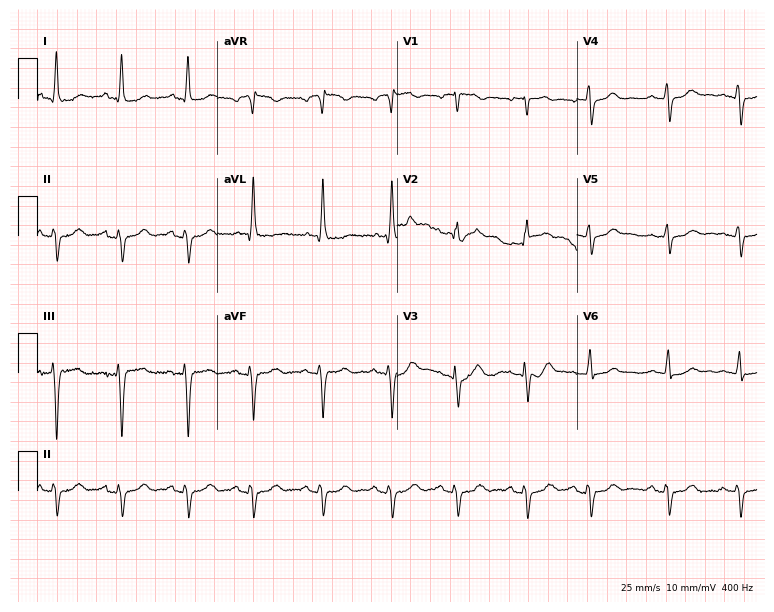
Standard 12-lead ECG recorded from a 58-year-old female. None of these six findings is recorded: first-degree AV block, right bundle branch block (RBBB), left bundle branch block (LBBB), sinus bradycardia, atrial fibrillation (AF), sinus tachycardia. Only these six findings were labelled.